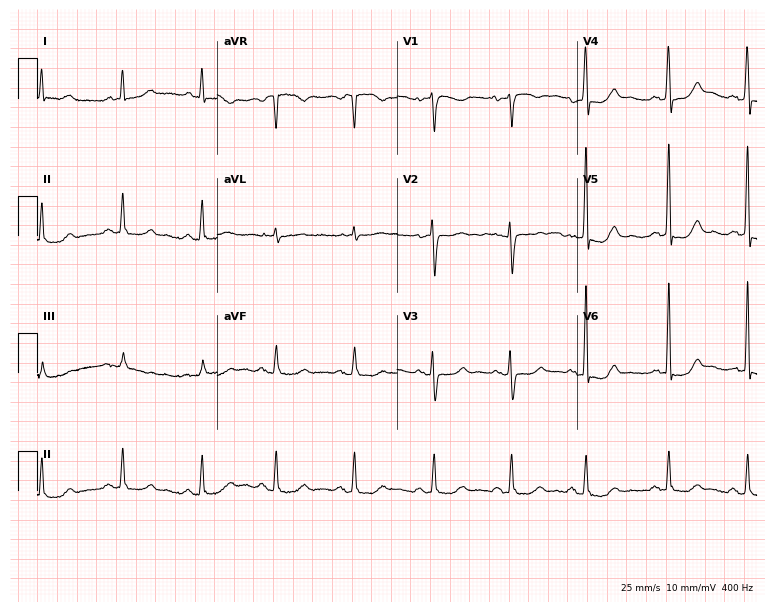
Electrocardiogram, a female, 65 years old. Of the six screened findings (first-degree AV block, right bundle branch block (RBBB), left bundle branch block (LBBB), sinus bradycardia, atrial fibrillation (AF), sinus tachycardia), none is recorded.